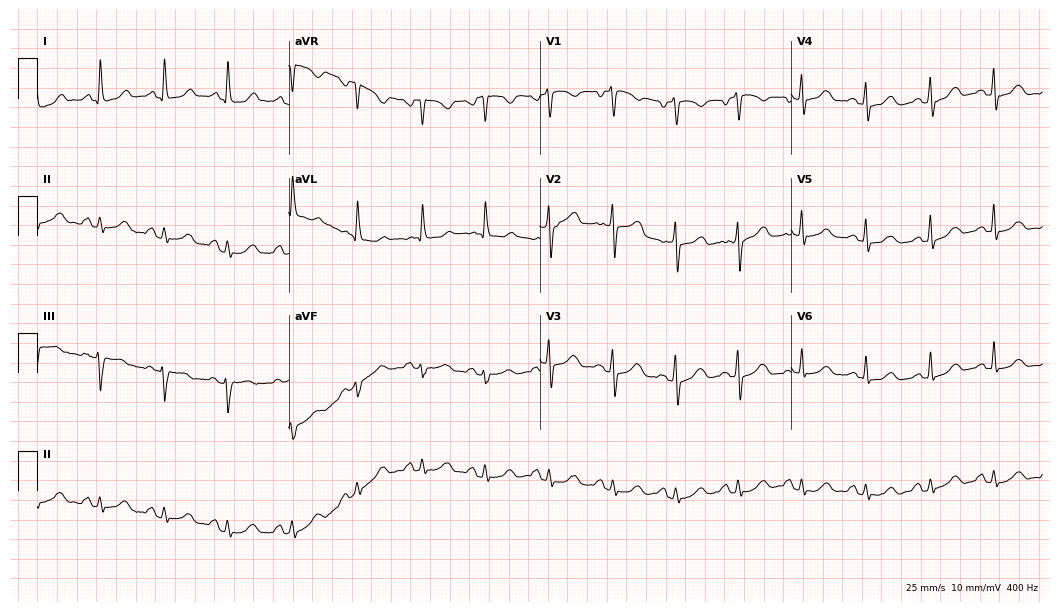
12-lead ECG from a female, 52 years old. Labelled as a normal ECG.